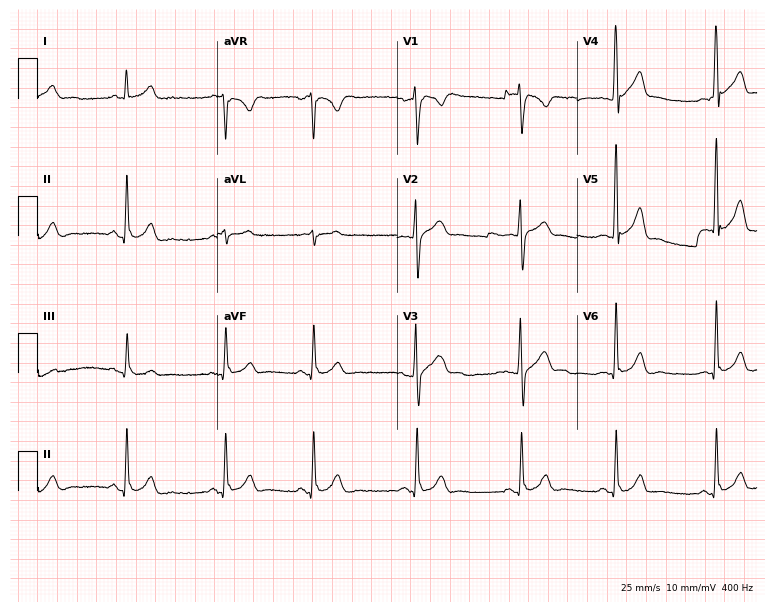
12-lead ECG from a man, 29 years old. Screened for six findings — first-degree AV block, right bundle branch block (RBBB), left bundle branch block (LBBB), sinus bradycardia, atrial fibrillation (AF), sinus tachycardia — none is recorded.